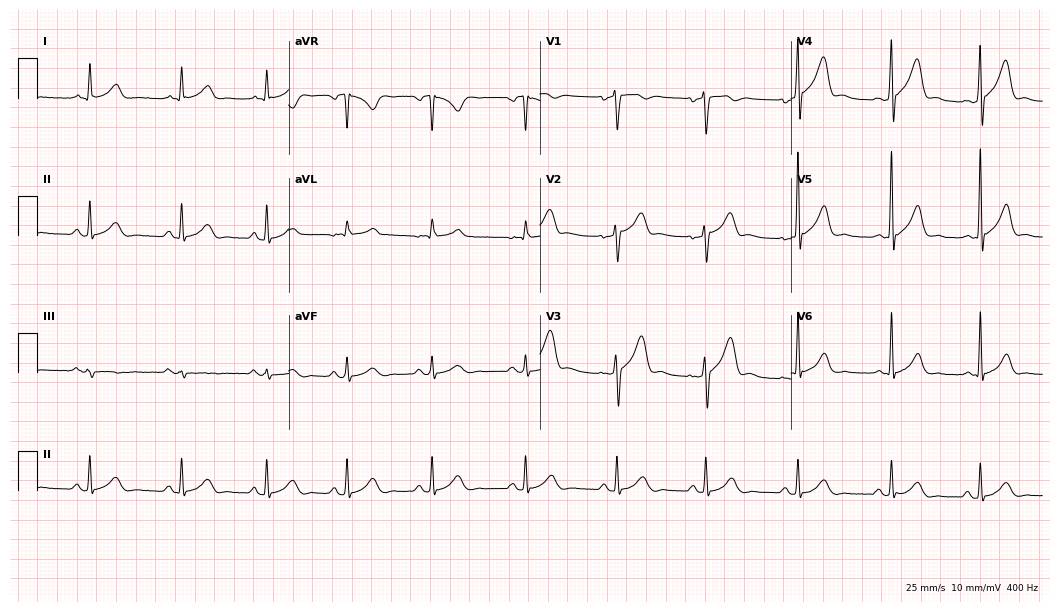
Resting 12-lead electrocardiogram (10.2-second recording at 400 Hz). Patient: a male, 48 years old. None of these six findings is recorded: first-degree AV block, right bundle branch block, left bundle branch block, sinus bradycardia, atrial fibrillation, sinus tachycardia.